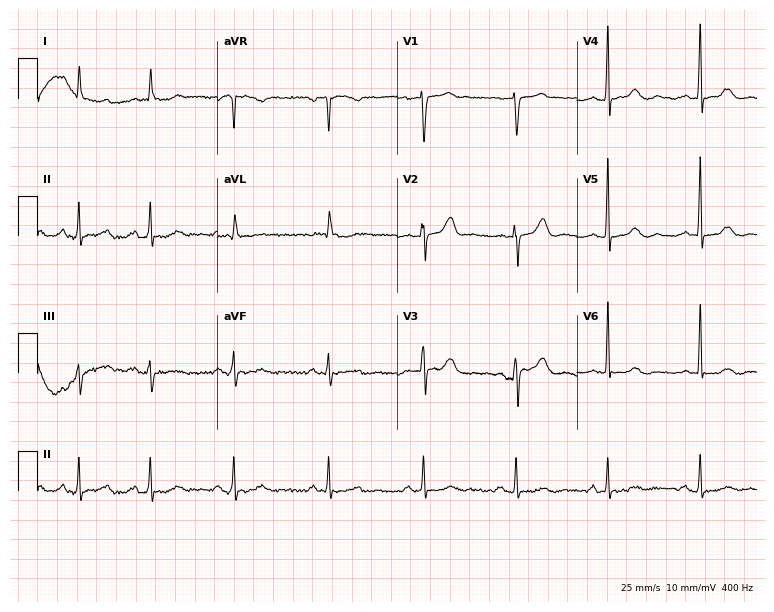
ECG (7.3-second recording at 400 Hz) — a 59-year-old female patient. Screened for six findings — first-degree AV block, right bundle branch block, left bundle branch block, sinus bradycardia, atrial fibrillation, sinus tachycardia — none is recorded. Other findings, if any, are not listed.